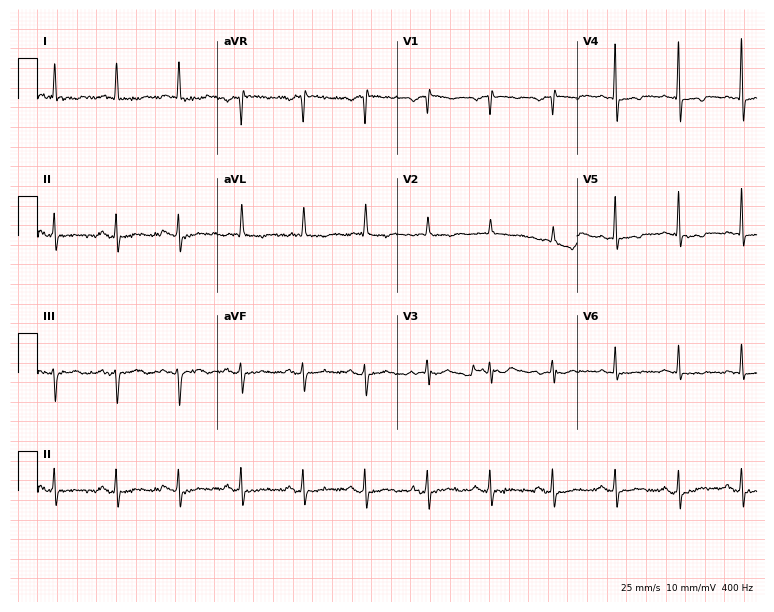
Standard 12-lead ECG recorded from a 74-year-old female patient (7.3-second recording at 400 Hz). None of these six findings is recorded: first-degree AV block, right bundle branch block, left bundle branch block, sinus bradycardia, atrial fibrillation, sinus tachycardia. Only these six findings were labelled.